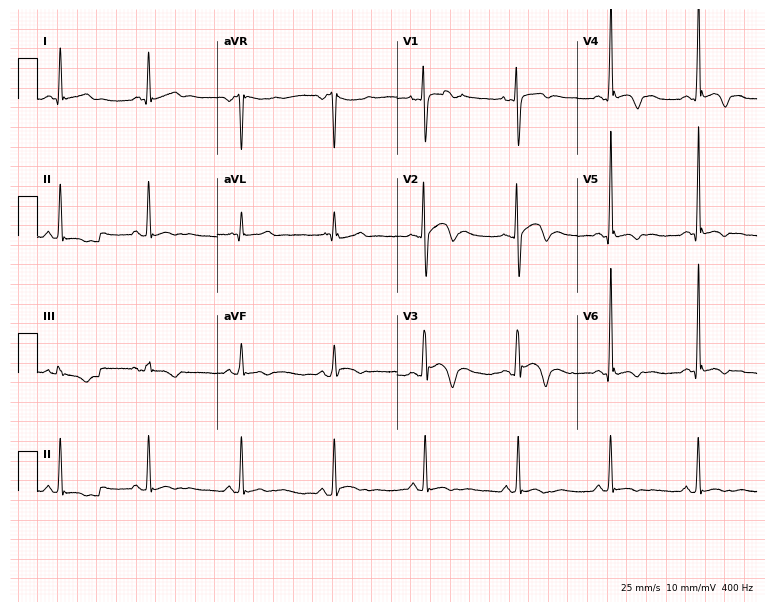
ECG — a 32-year-old male. Screened for six findings — first-degree AV block, right bundle branch block, left bundle branch block, sinus bradycardia, atrial fibrillation, sinus tachycardia — none is recorded. Other findings, if any, are not listed.